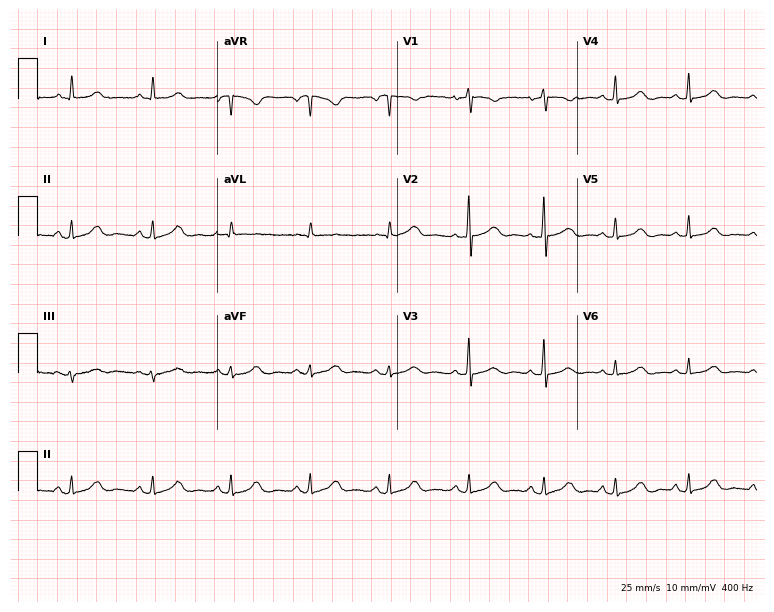
Electrocardiogram (7.3-second recording at 400 Hz), a 66-year-old male patient. Overall reading on record: normal ECG.